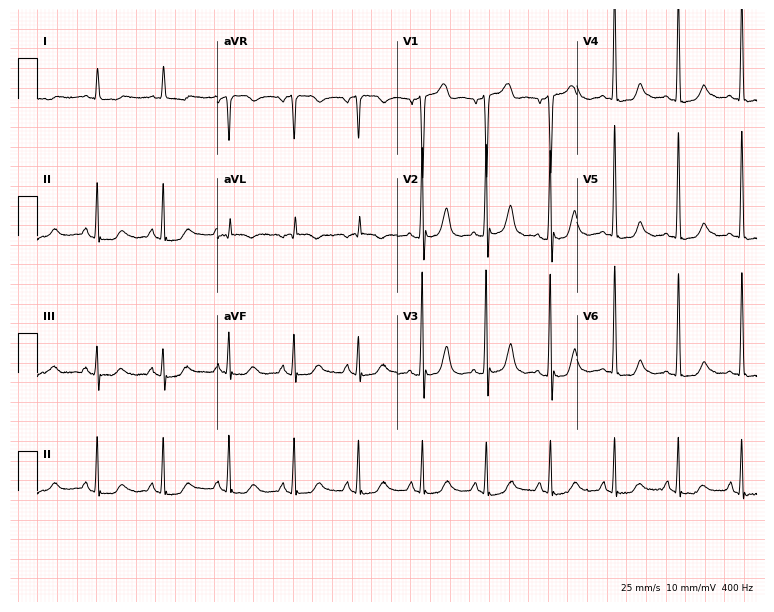
Standard 12-lead ECG recorded from a man, 81 years old (7.3-second recording at 400 Hz). None of these six findings is recorded: first-degree AV block, right bundle branch block, left bundle branch block, sinus bradycardia, atrial fibrillation, sinus tachycardia. Other findings, if any, are not listed.